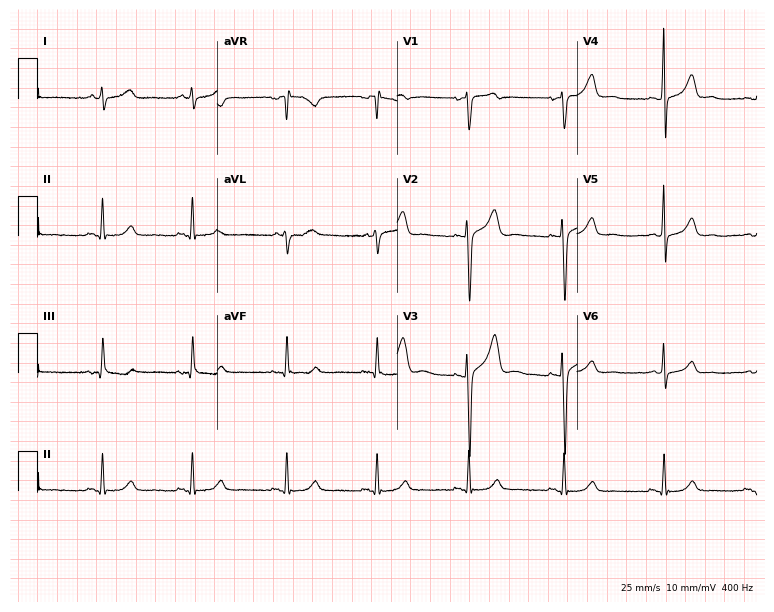
Electrocardiogram, a male, 49 years old. Overall reading on record: normal ECG.